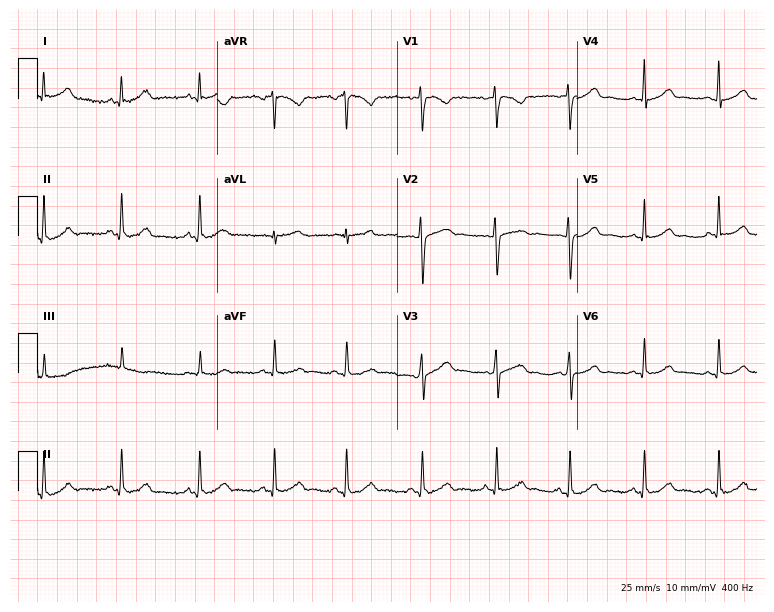
12-lead ECG (7.3-second recording at 400 Hz) from a 29-year-old woman. Screened for six findings — first-degree AV block, right bundle branch block, left bundle branch block, sinus bradycardia, atrial fibrillation, sinus tachycardia — none is recorded. Only these six findings were labelled.